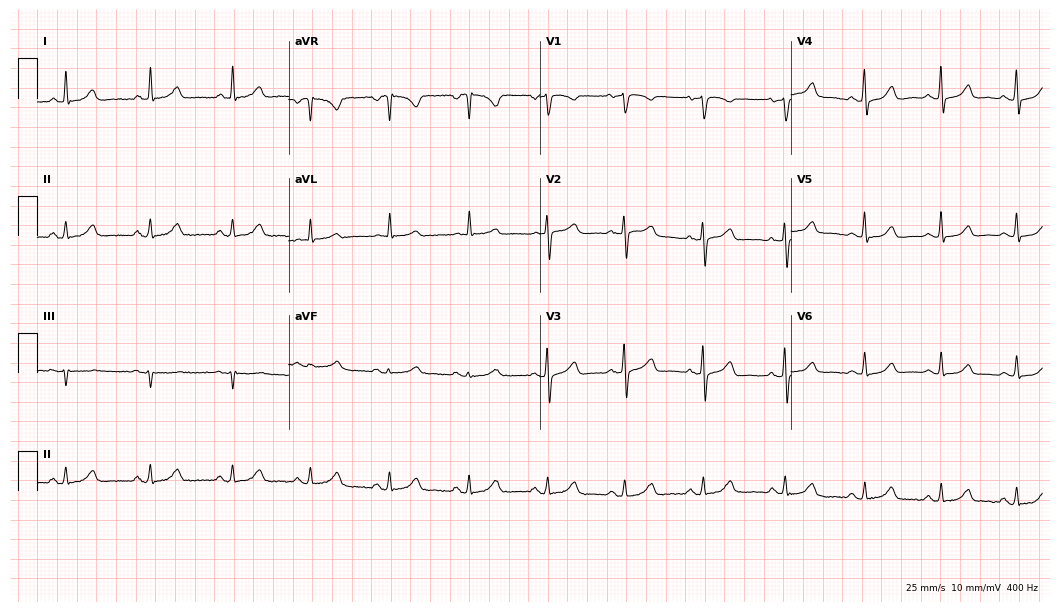
Standard 12-lead ECG recorded from a 64-year-old woman (10.2-second recording at 400 Hz). Read as a normal ECG.